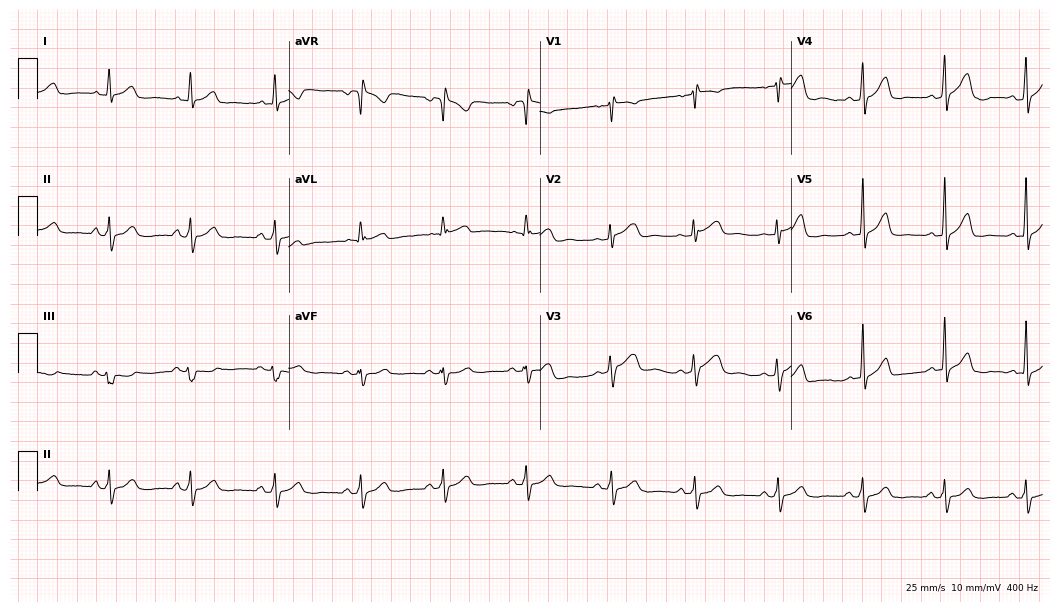
Standard 12-lead ECG recorded from a 66-year-old woman. None of these six findings is recorded: first-degree AV block, right bundle branch block, left bundle branch block, sinus bradycardia, atrial fibrillation, sinus tachycardia. Findings outside these six are not listed.